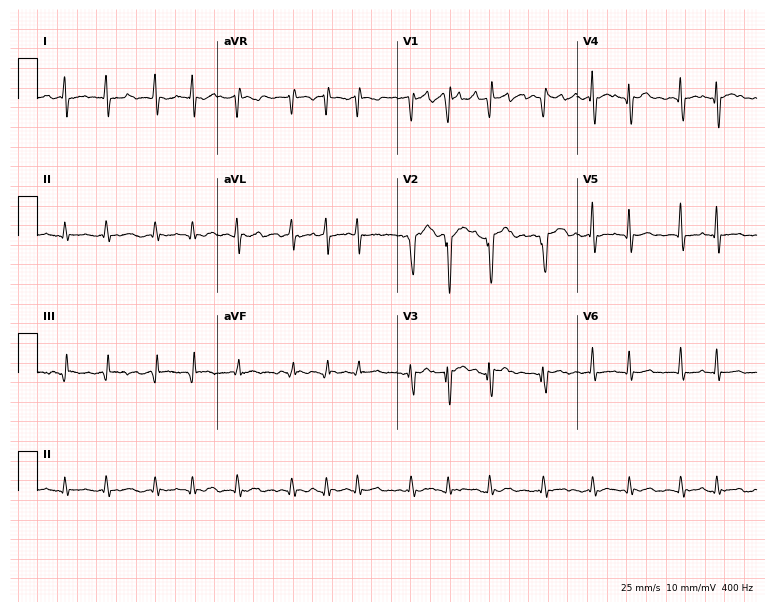
ECG (7.3-second recording at 400 Hz) — a male, 55 years old. Findings include atrial fibrillation.